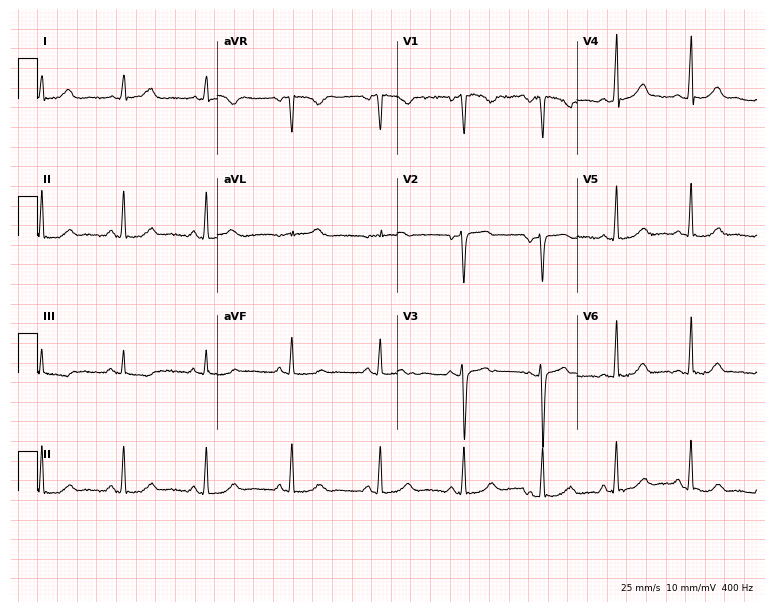
ECG (7.3-second recording at 400 Hz) — a woman, 19 years old. Labelled as a normal ECG.